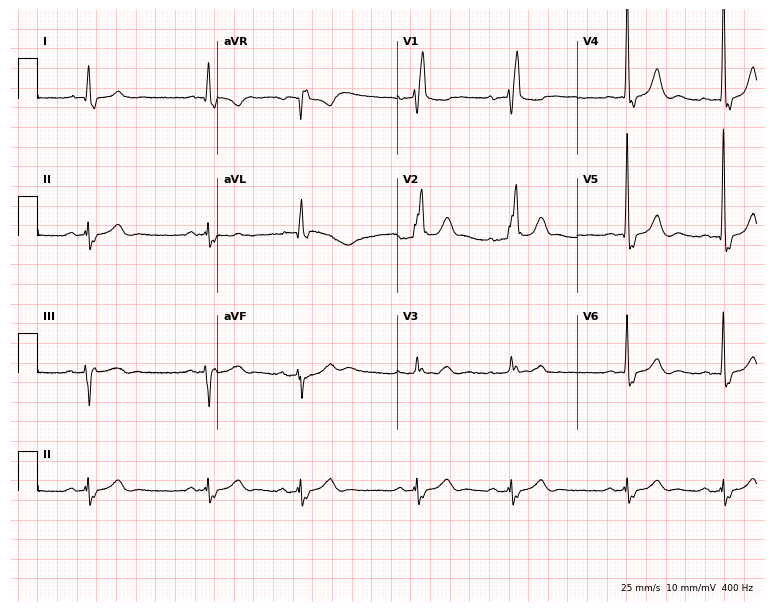
12-lead ECG from a man, 81 years old (7.3-second recording at 400 Hz). Shows right bundle branch block.